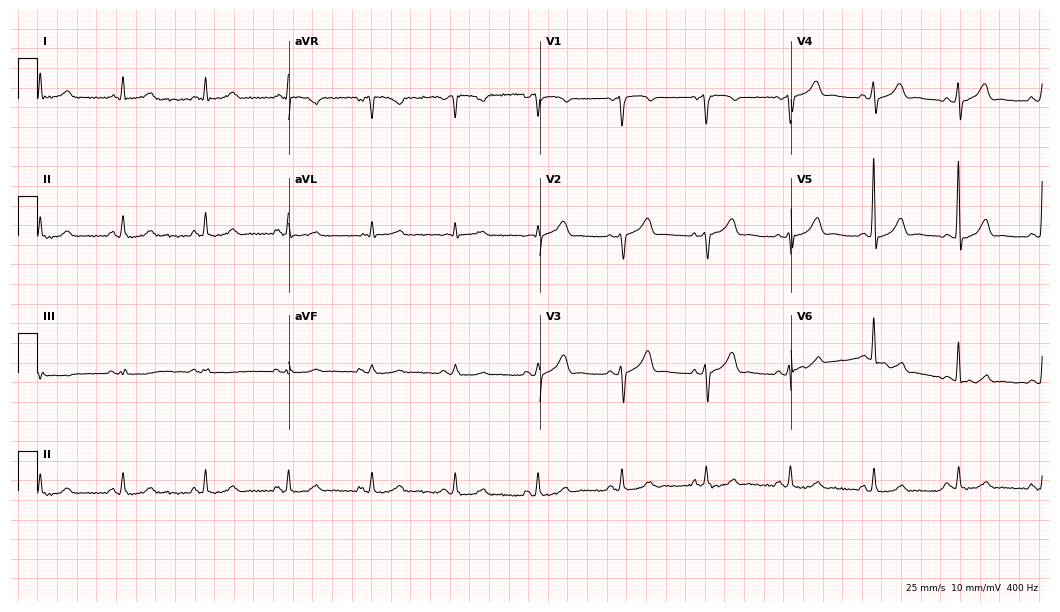
Standard 12-lead ECG recorded from a man, 75 years old (10.2-second recording at 400 Hz). Read as a normal ECG.